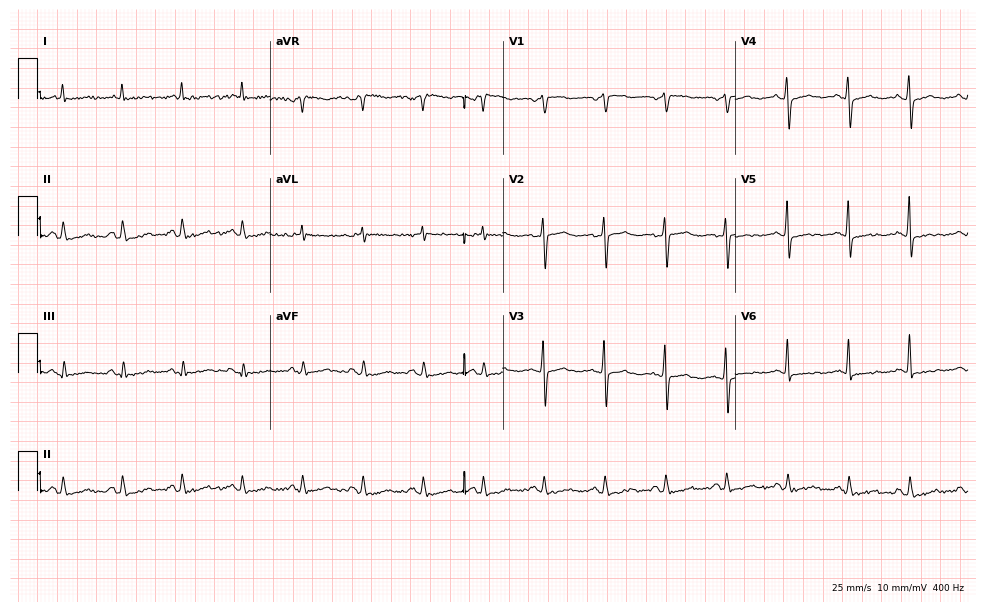
Electrocardiogram, a female patient, 84 years old. Of the six screened findings (first-degree AV block, right bundle branch block, left bundle branch block, sinus bradycardia, atrial fibrillation, sinus tachycardia), none is recorded.